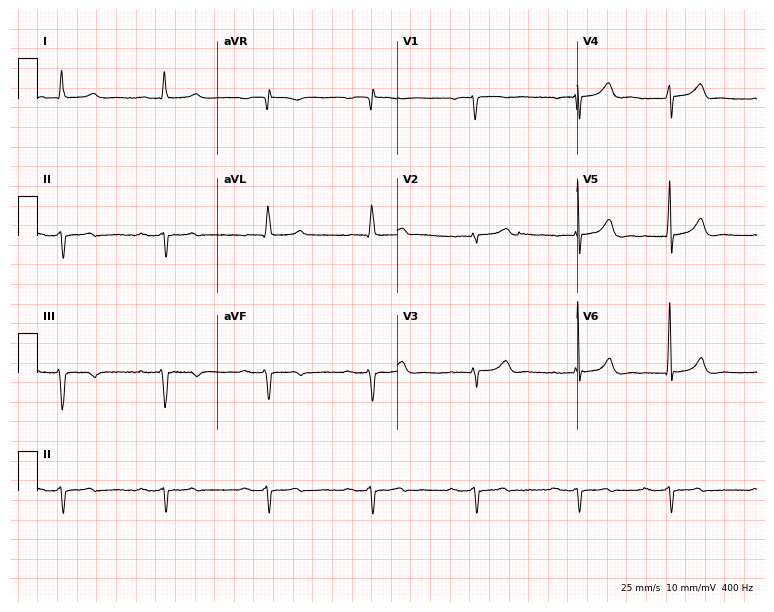
Resting 12-lead electrocardiogram. Patient: a male, 83 years old. The tracing shows first-degree AV block.